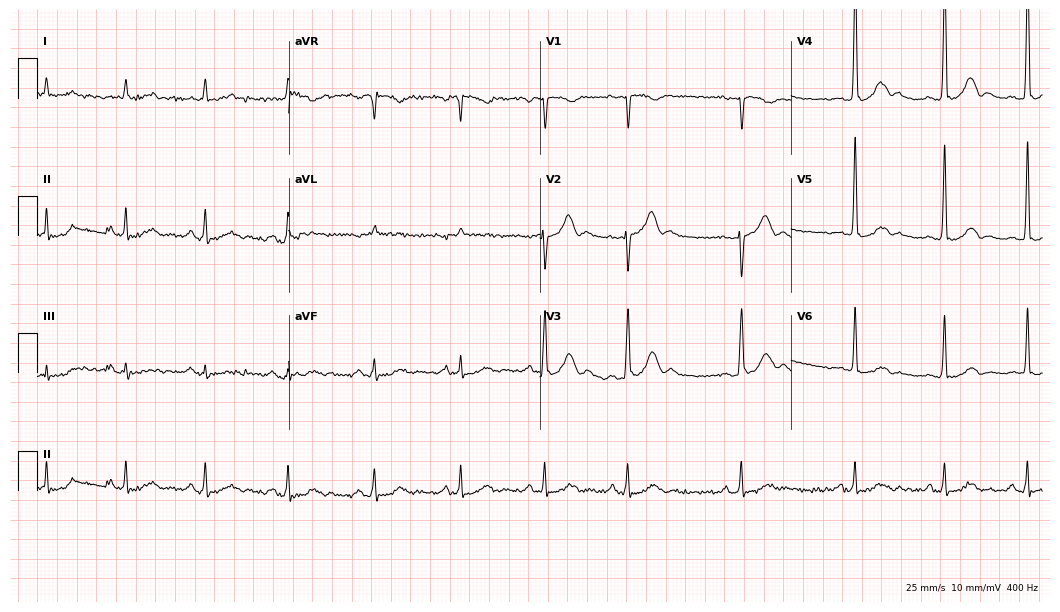
Standard 12-lead ECG recorded from a man, 59 years old (10.2-second recording at 400 Hz). None of these six findings is recorded: first-degree AV block, right bundle branch block (RBBB), left bundle branch block (LBBB), sinus bradycardia, atrial fibrillation (AF), sinus tachycardia.